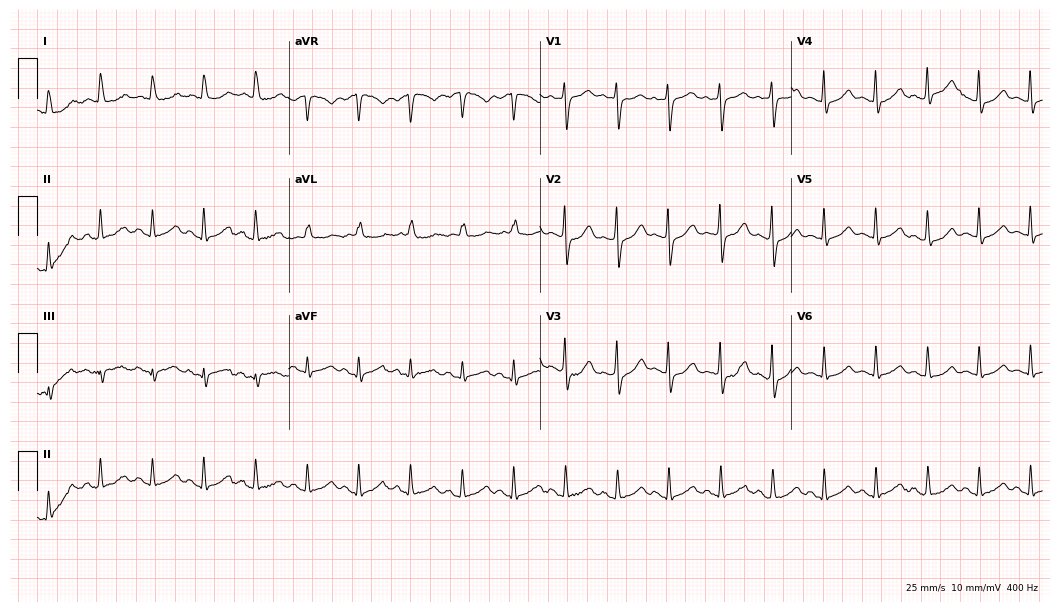
Standard 12-lead ECG recorded from a 74-year-old female patient. The tracing shows sinus tachycardia (a sinus rate of 100 beats per minute or more).